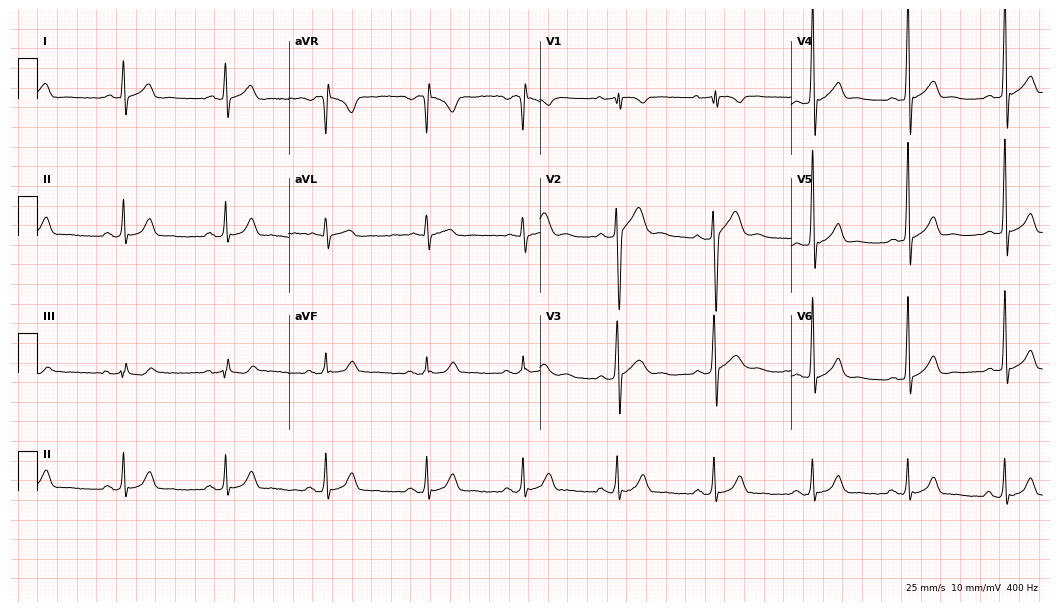
12-lead ECG (10.2-second recording at 400 Hz) from a 37-year-old male patient. Labelled as a normal ECG.